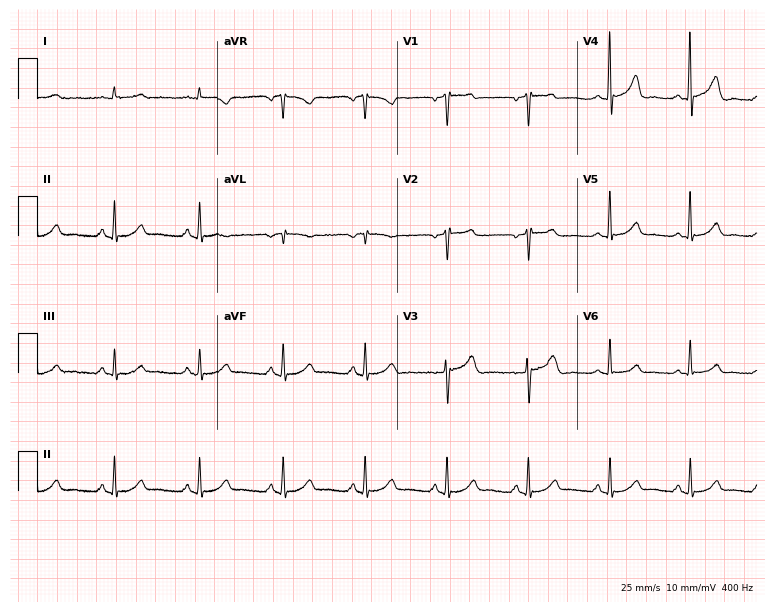
12-lead ECG from a man, 51 years old (7.3-second recording at 400 Hz). No first-degree AV block, right bundle branch block, left bundle branch block, sinus bradycardia, atrial fibrillation or sinus tachycardia recorded for this tracing.